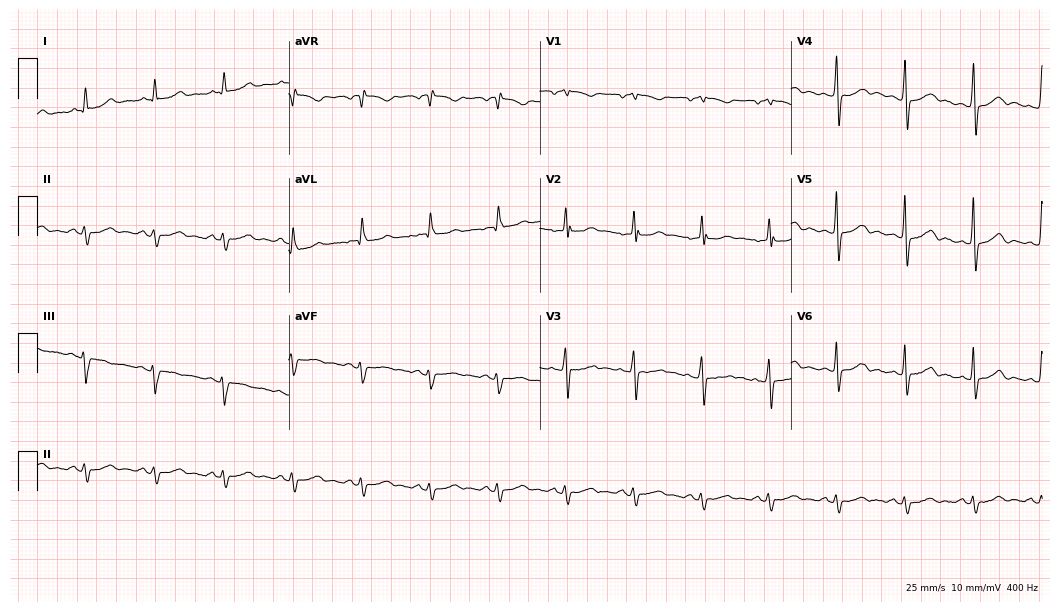
ECG — a male, 58 years old. Screened for six findings — first-degree AV block, right bundle branch block, left bundle branch block, sinus bradycardia, atrial fibrillation, sinus tachycardia — none is recorded.